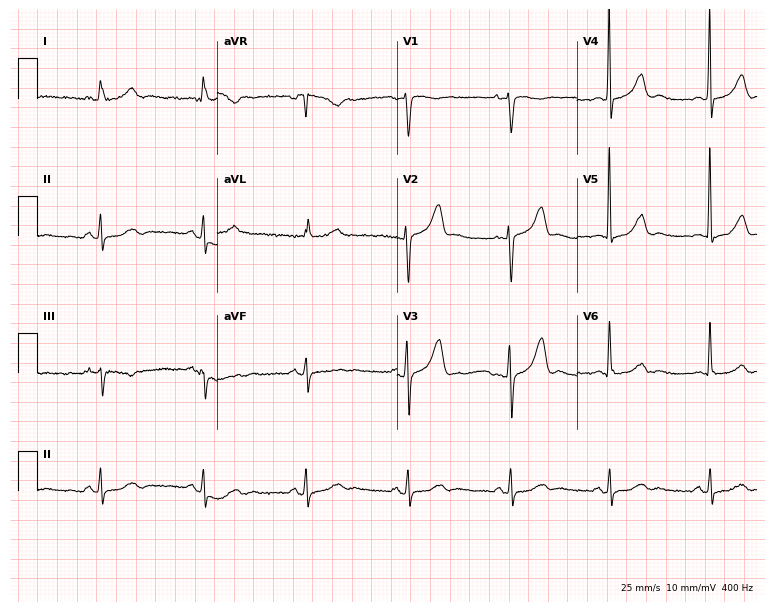
Standard 12-lead ECG recorded from a 68-year-old female patient. None of these six findings is recorded: first-degree AV block, right bundle branch block, left bundle branch block, sinus bradycardia, atrial fibrillation, sinus tachycardia. Other findings, if any, are not listed.